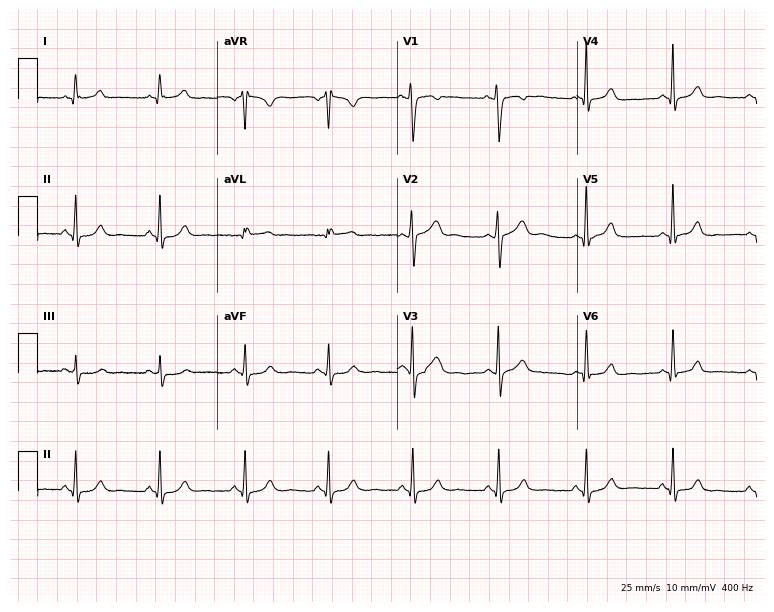
12-lead ECG (7.3-second recording at 400 Hz) from a 42-year-old female patient. Screened for six findings — first-degree AV block, right bundle branch block (RBBB), left bundle branch block (LBBB), sinus bradycardia, atrial fibrillation (AF), sinus tachycardia — none is recorded. Findings outside these six are not listed.